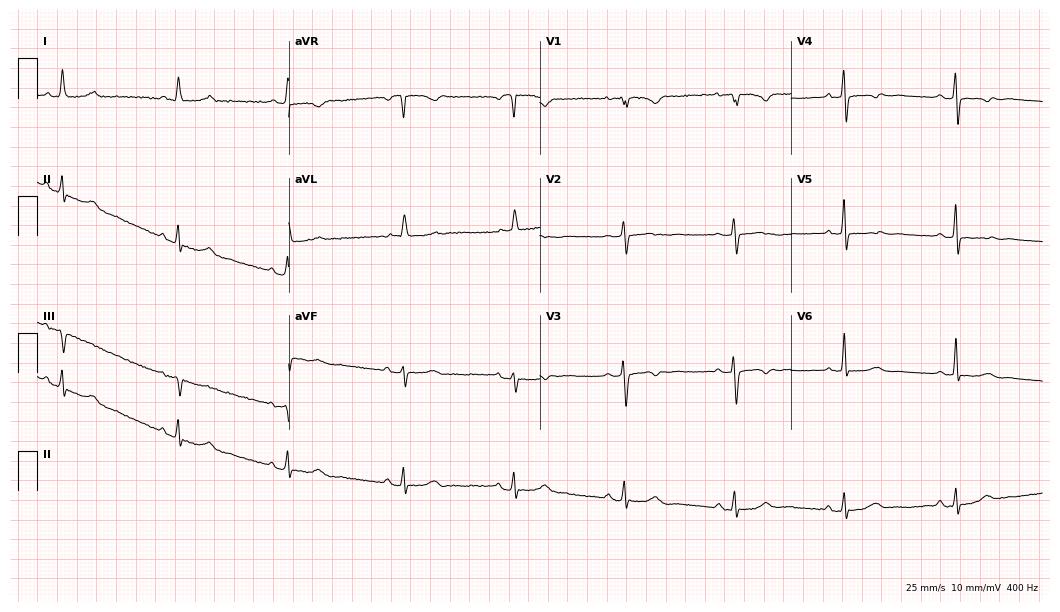
12-lead ECG (10.2-second recording at 400 Hz) from a male patient, 81 years old. Screened for six findings — first-degree AV block, right bundle branch block (RBBB), left bundle branch block (LBBB), sinus bradycardia, atrial fibrillation (AF), sinus tachycardia — none is recorded.